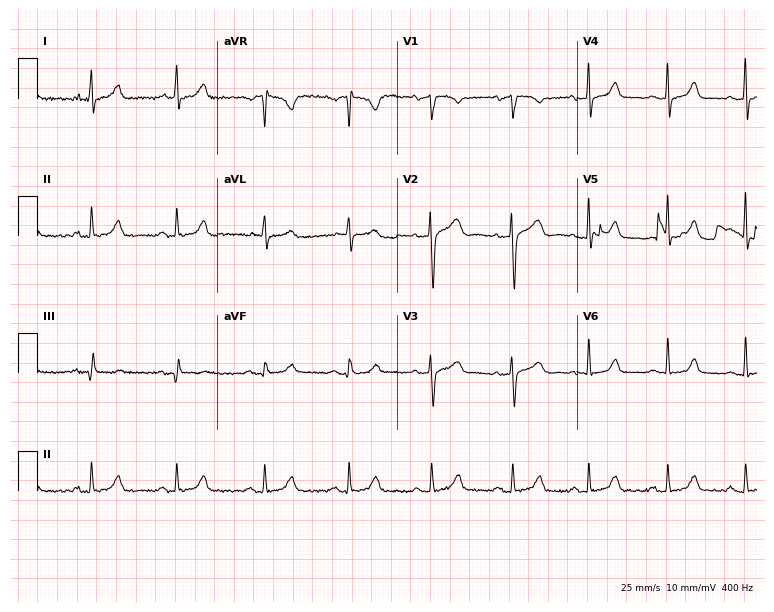
Resting 12-lead electrocardiogram (7.3-second recording at 400 Hz). Patient: a 49-year-old woman. Read as a normal ECG.